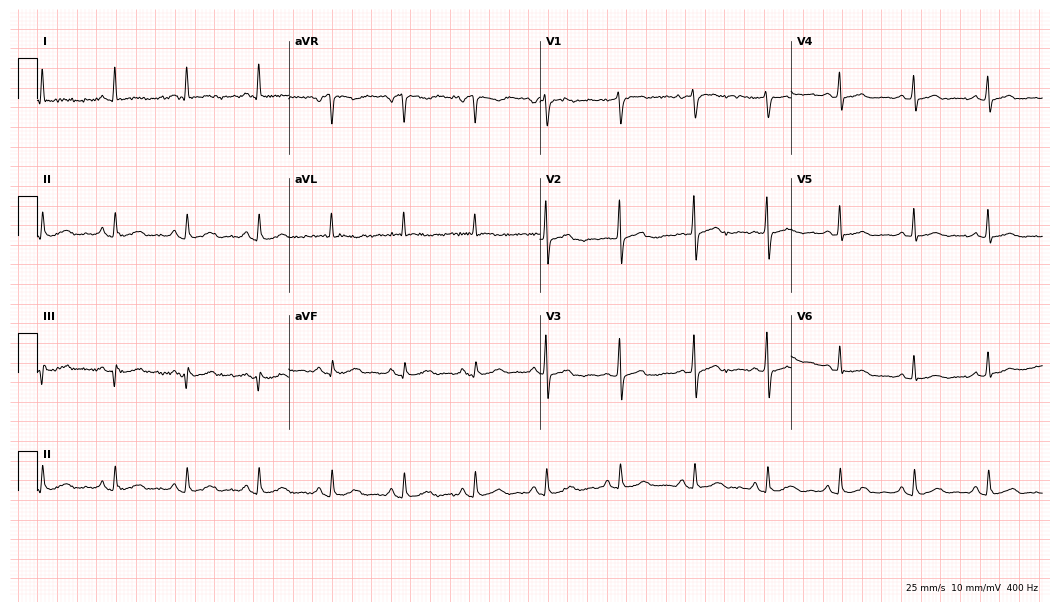
ECG (10.2-second recording at 400 Hz) — a 77-year-old female. Screened for six findings — first-degree AV block, right bundle branch block (RBBB), left bundle branch block (LBBB), sinus bradycardia, atrial fibrillation (AF), sinus tachycardia — none is recorded. Findings outside these six are not listed.